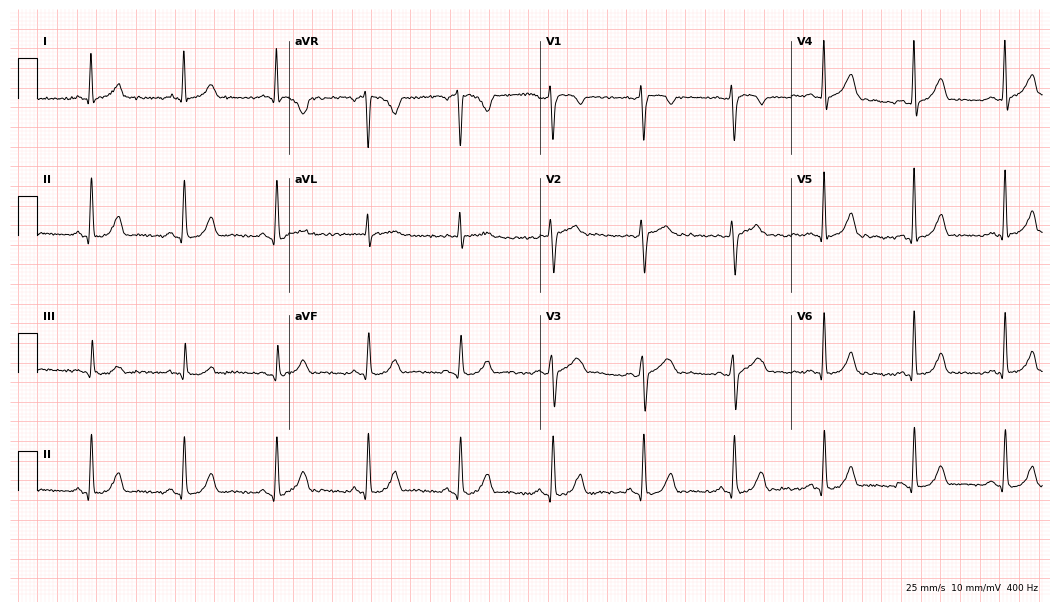
ECG — a female patient, 62 years old. Labelled as a normal ECG.